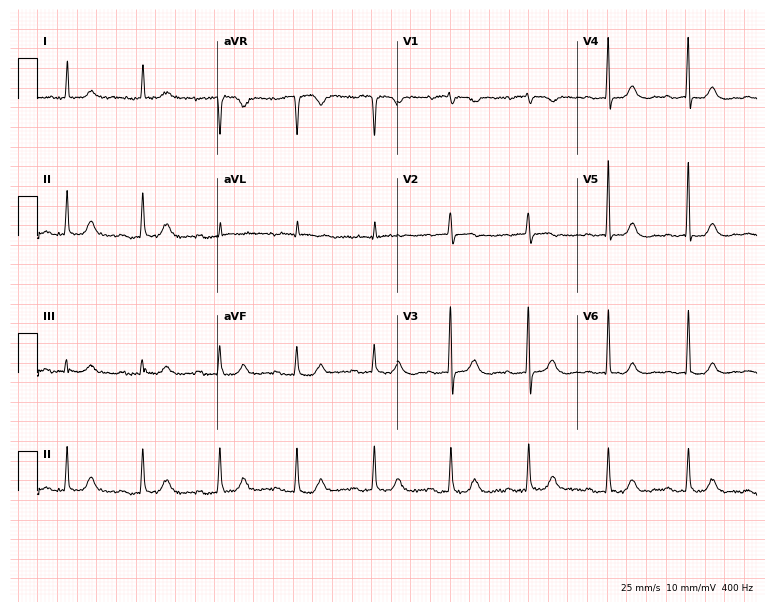
12-lead ECG from a woman, 82 years old. Shows first-degree AV block.